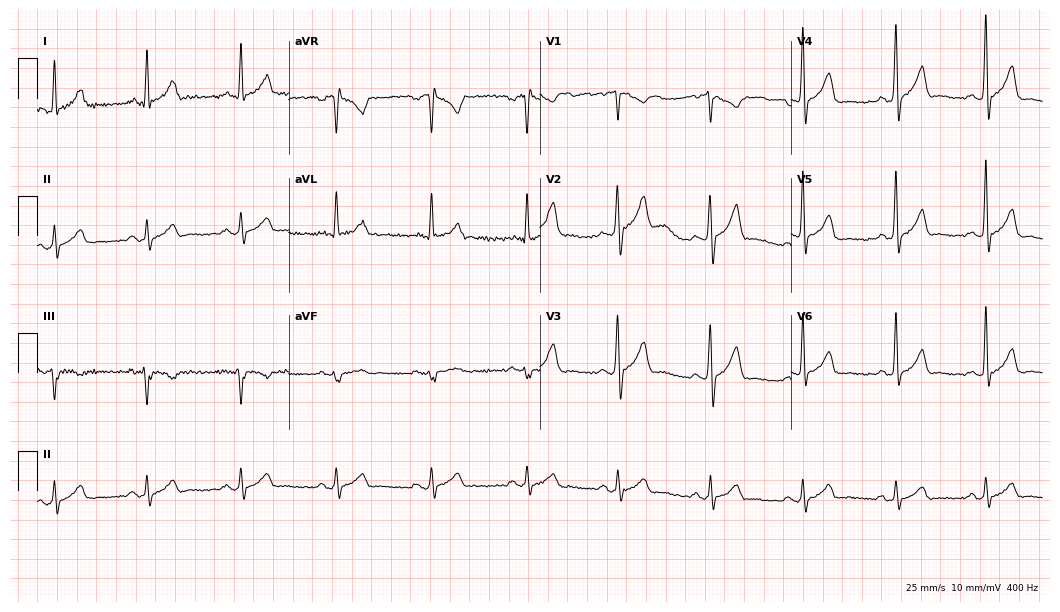
Standard 12-lead ECG recorded from a man, 48 years old (10.2-second recording at 400 Hz). None of these six findings is recorded: first-degree AV block, right bundle branch block, left bundle branch block, sinus bradycardia, atrial fibrillation, sinus tachycardia. Other findings, if any, are not listed.